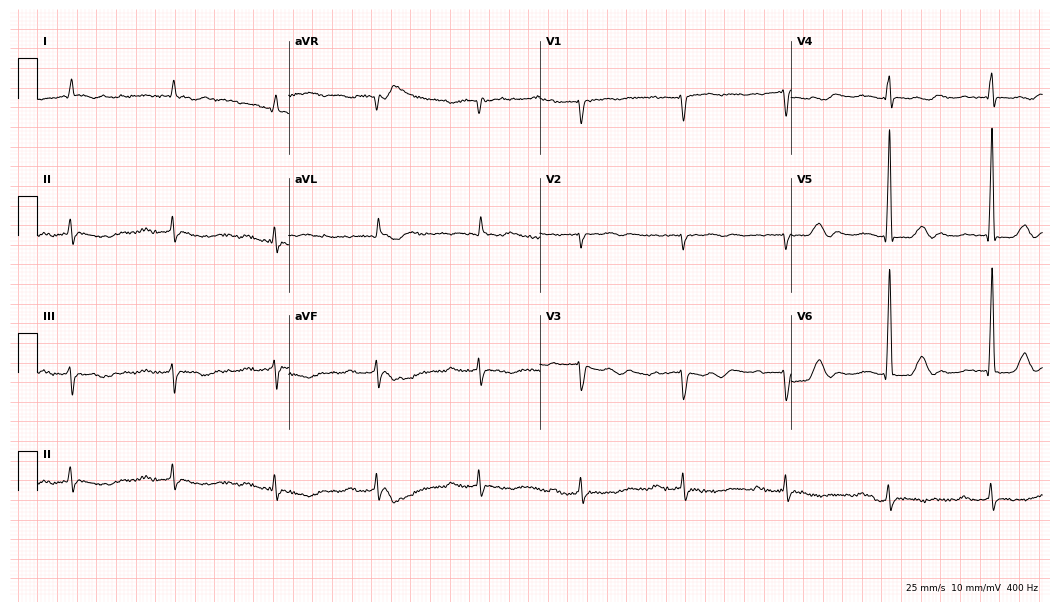
ECG — an 81-year-old man. Screened for six findings — first-degree AV block, right bundle branch block, left bundle branch block, sinus bradycardia, atrial fibrillation, sinus tachycardia — none is recorded.